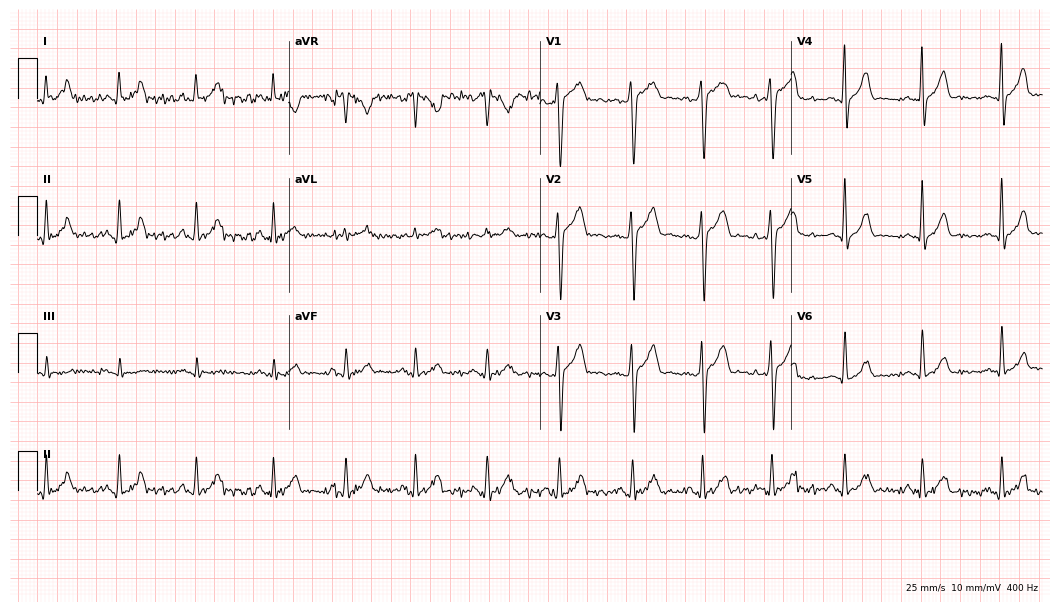
12-lead ECG from a male patient, 22 years old (10.2-second recording at 400 Hz). Recorded interpretation: within normal limits.